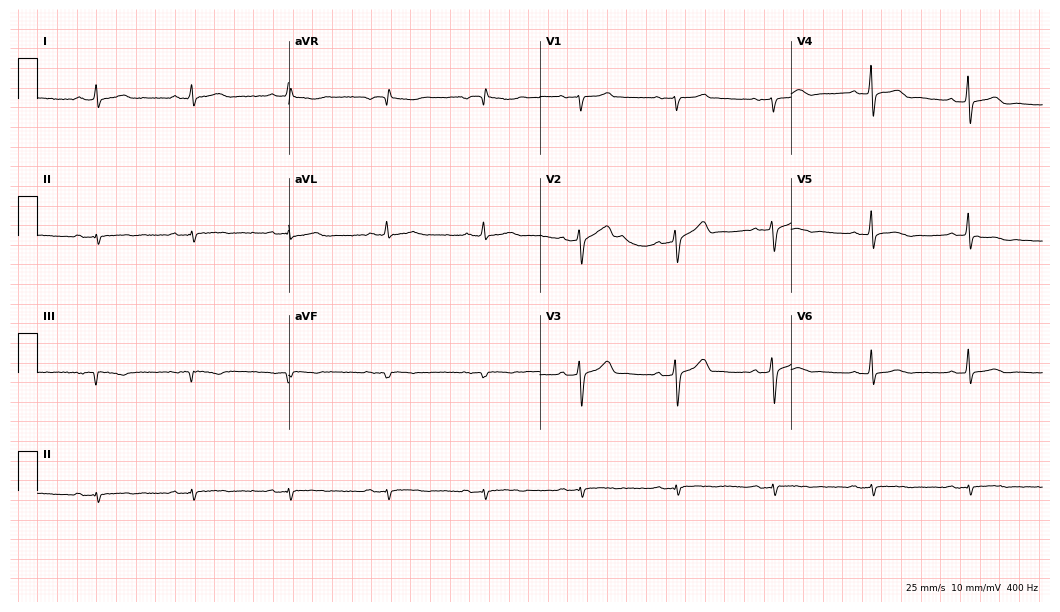
Electrocardiogram, a man, 60 years old. Overall reading on record: normal ECG.